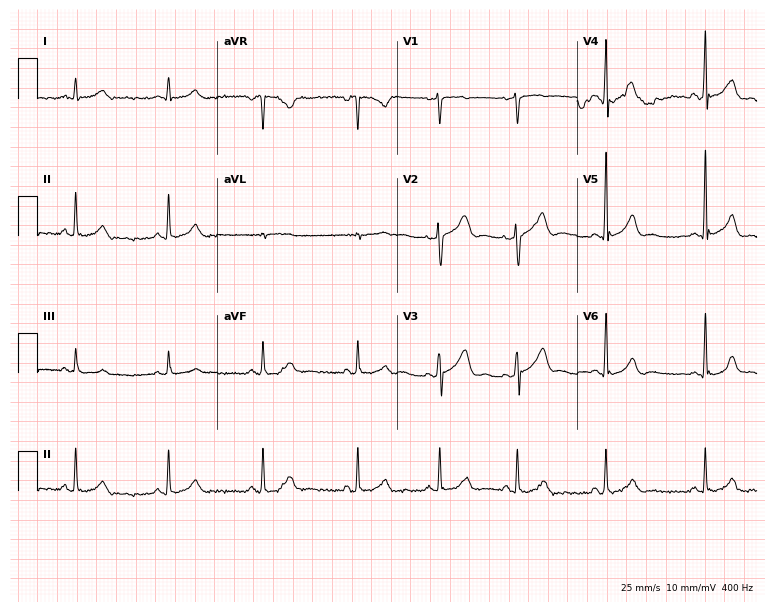
Electrocardiogram (7.3-second recording at 400 Hz), a male, 33 years old. Overall reading on record: normal ECG.